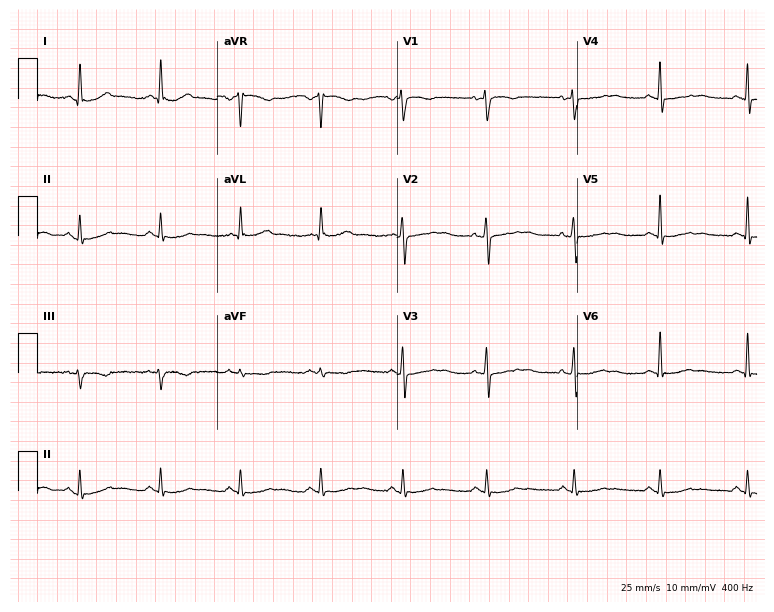
ECG (7.3-second recording at 400 Hz) — a female patient, 58 years old. Screened for six findings — first-degree AV block, right bundle branch block (RBBB), left bundle branch block (LBBB), sinus bradycardia, atrial fibrillation (AF), sinus tachycardia — none is recorded.